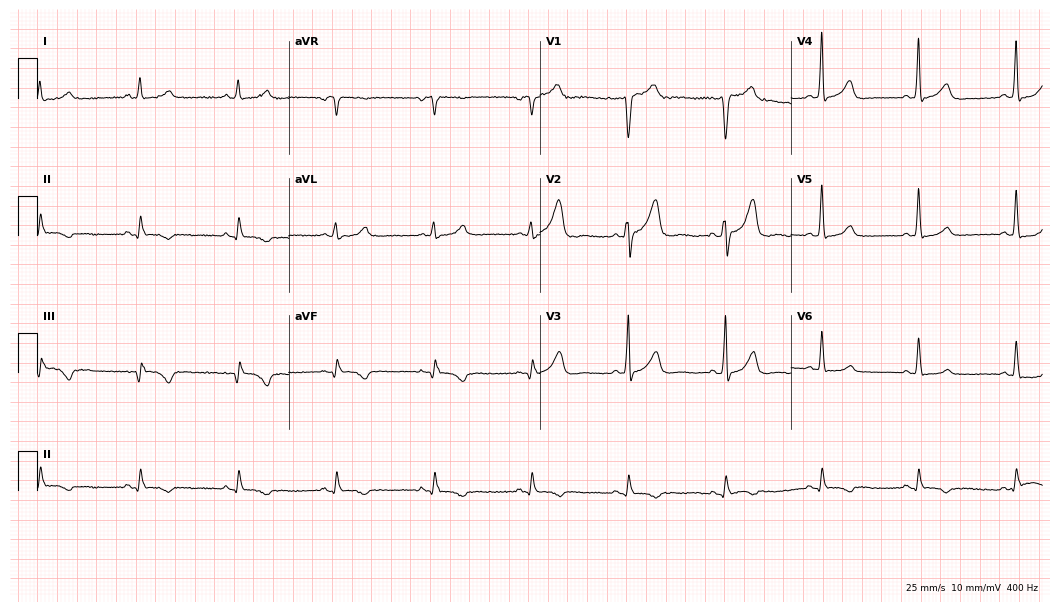
ECG (10.2-second recording at 400 Hz) — a male, 63 years old. Screened for six findings — first-degree AV block, right bundle branch block, left bundle branch block, sinus bradycardia, atrial fibrillation, sinus tachycardia — none is recorded. Findings outside these six are not listed.